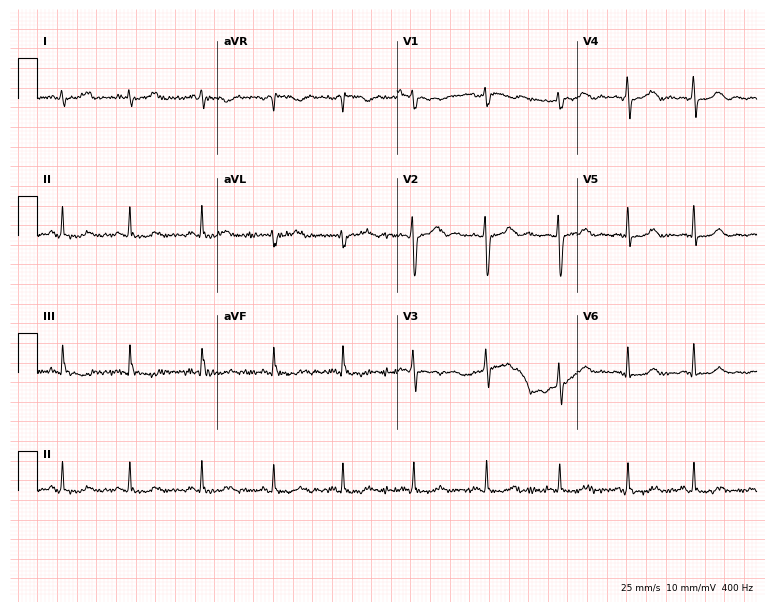
ECG — a female, 21 years old. Screened for six findings — first-degree AV block, right bundle branch block, left bundle branch block, sinus bradycardia, atrial fibrillation, sinus tachycardia — none is recorded. Findings outside these six are not listed.